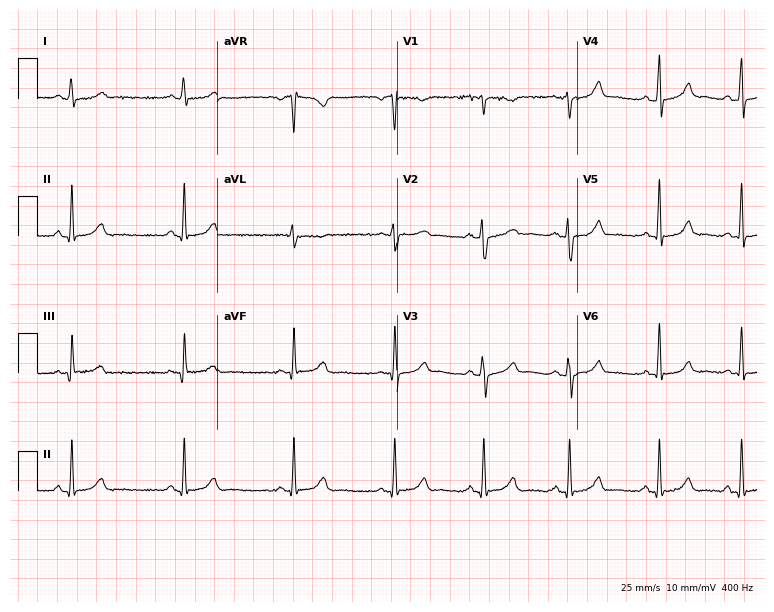
ECG — a 24-year-old woman. Screened for six findings — first-degree AV block, right bundle branch block, left bundle branch block, sinus bradycardia, atrial fibrillation, sinus tachycardia — none is recorded. Findings outside these six are not listed.